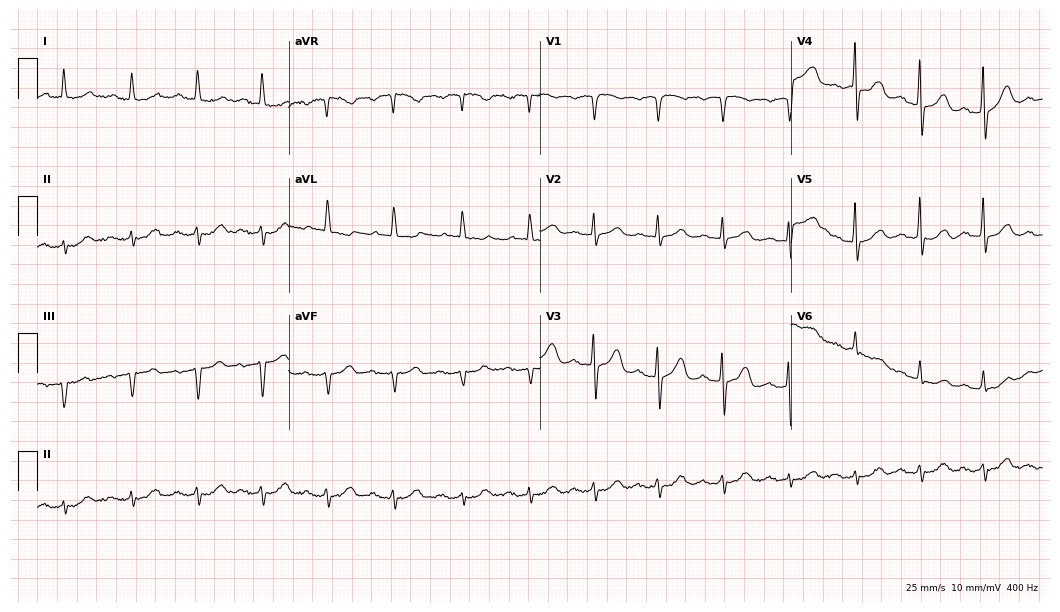
12-lead ECG from an 85-year-old man (10.2-second recording at 400 Hz). Recorded interpretation: within normal limits.